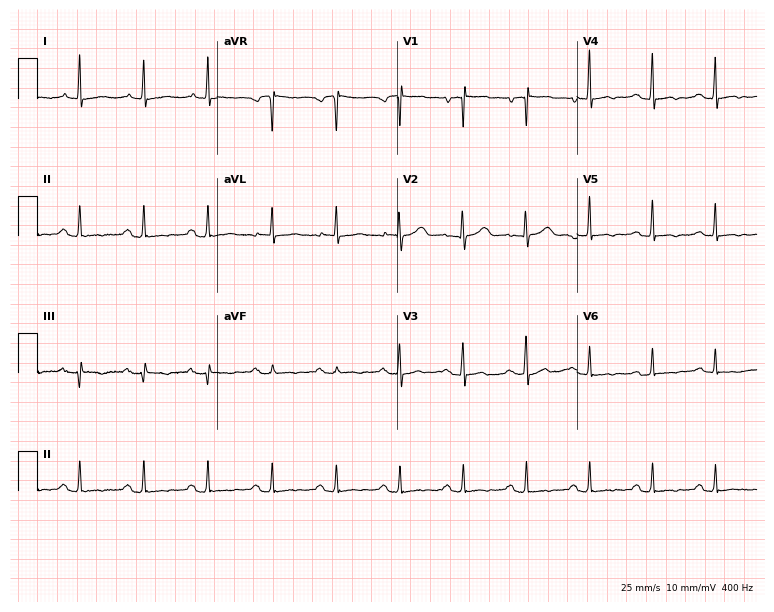
12-lead ECG (7.3-second recording at 400 Hz) from a female, 74 years old. Screened for six findings — first-degree AV block, right bundle branch block, left bundle branch block, sinus bradycardia, atrial fibrillation, sinus tachycardia — none is recorded.